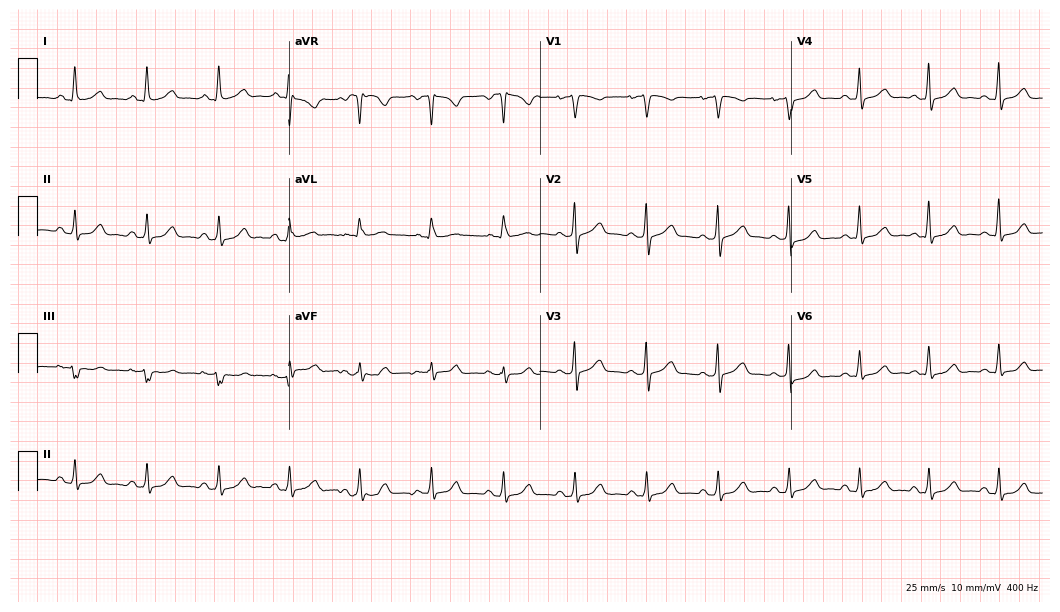
Standard 12-lead ECG recorded from a female, 47 years old. None of these six findings is recorded: first-degree AV block, right bundle branch block (RBBB), left bundle branch block (LBBB), sinus bradycardia, atrial fibrillation (AF), sinus tachycardia. Only these six findings were labelled.